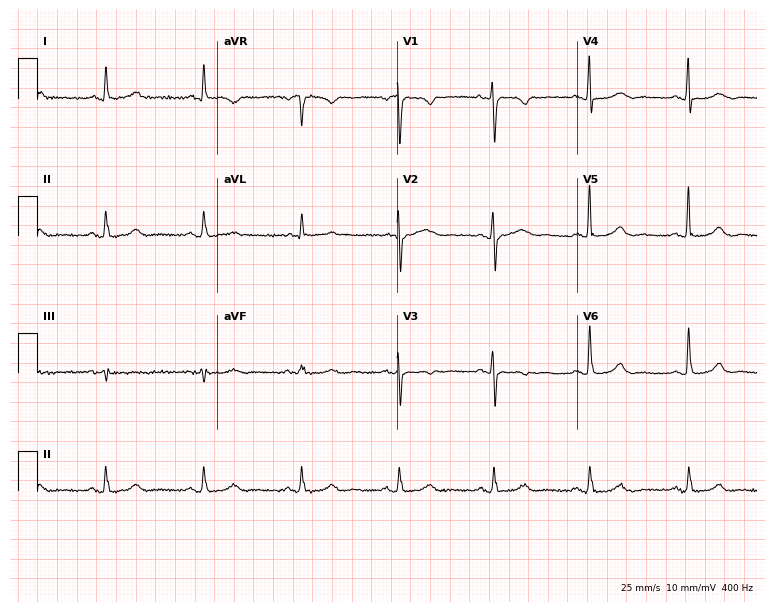
Standard 12-lead ECG recorded from a female patient, 76 years old (7.3-second recording at 400 Hz). None of these six findings is recorded: first-degree AV block, right bundle branch block (RBBB), left bundle branch block (LBBB), sinus bradycardia, atrial fibrillation (AF), sinus tachycardia. Findings outside these six are not listed.